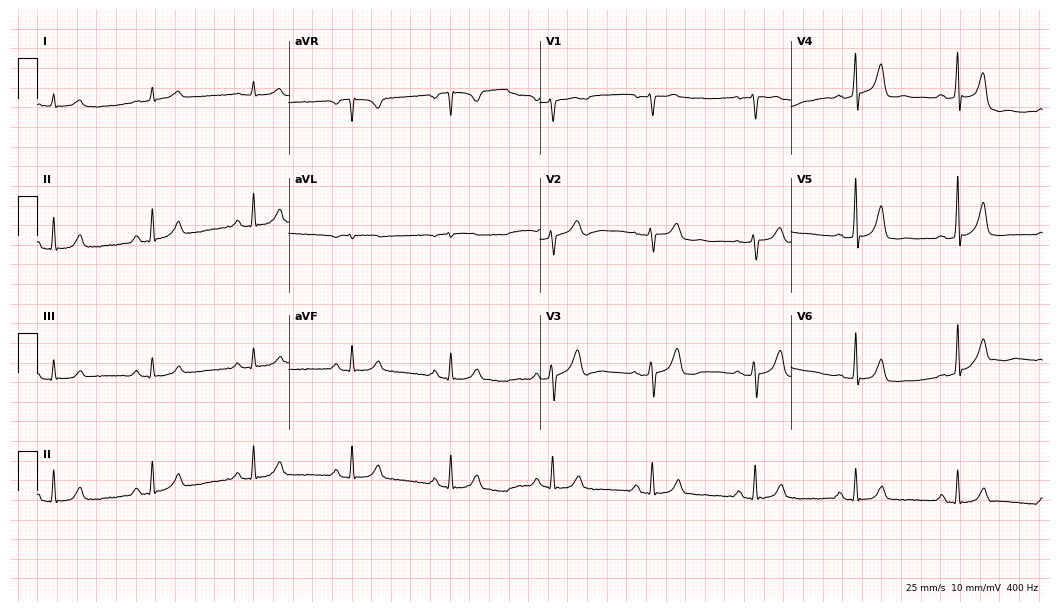
12-lead ECG (10.2-second recording at 400 Hz) from a 65-year-old man. Labelled as a normal ECG.